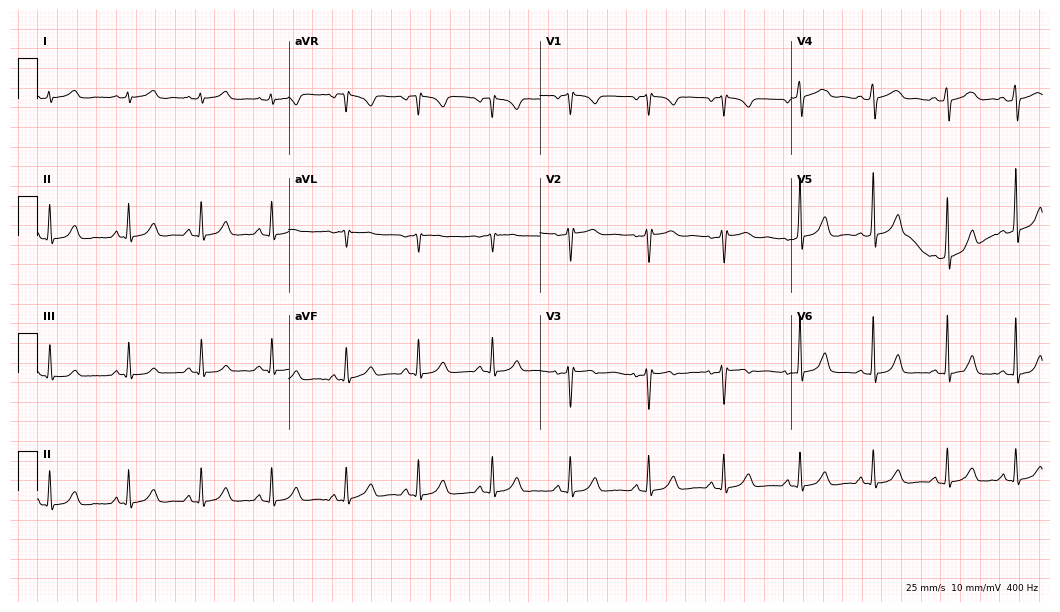
Standard 12-lead ECG recorded from a female patient, 27 years old. None of these six findings is recorded: first-degree AV block, right bundle branch block (RBBB), left bundle branch block (LBBB), sinus bradycardia, atrial fibrillation (AF), sinus tachycardia. Findings outside these six are not listed.